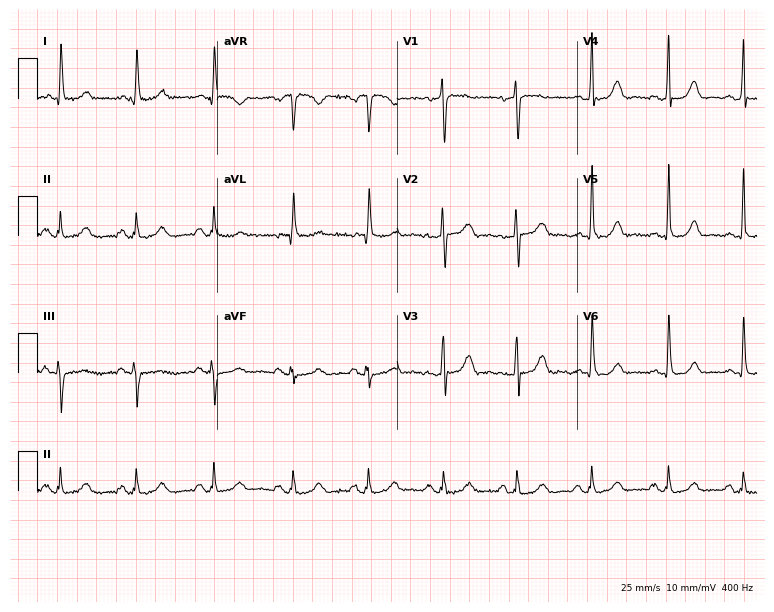
Resting 12-lead electrocardiogram (7.3-second recording at 400 Hz). Patient: a 60-year-old woman. Read as a normal ECG.